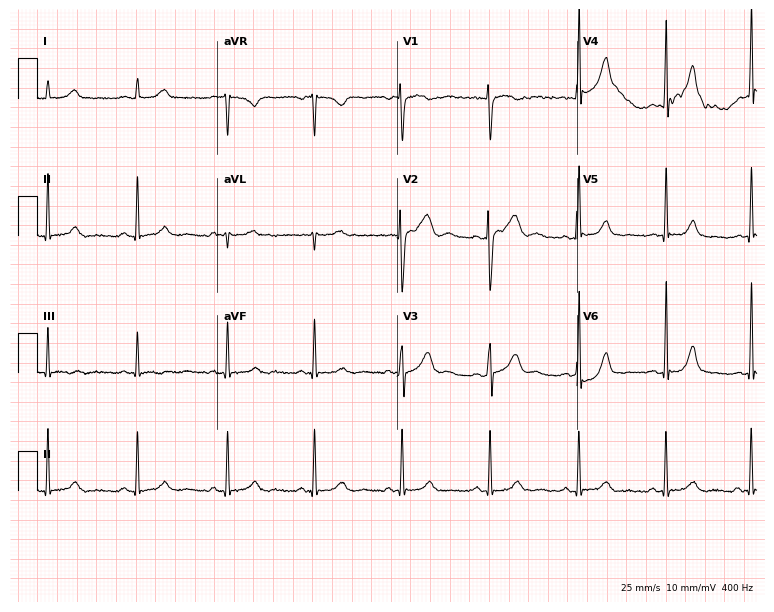
Resting 12-lead electrocardiogram (7.3-second recording at 400 Hz). Patient: a 23-year-old woman. Read as a normal ECG.